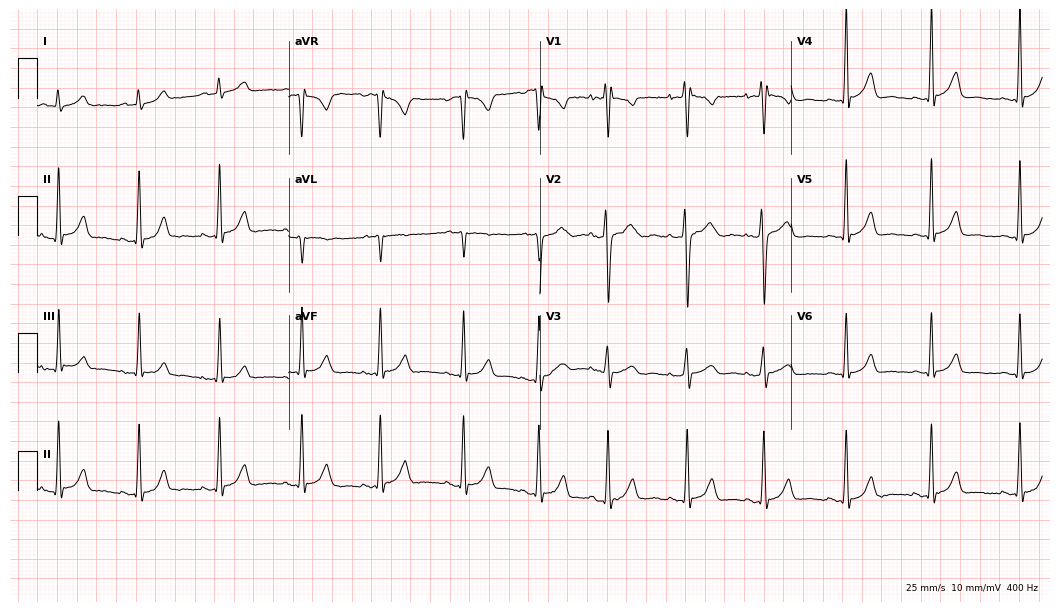
Standard 12-lead ECG recorded from a female patient, 18 years old (10.2-second recording at 400 Hz). None of these six findings is recorded: first-degree AV block, right bundle branch block, left bundle branch block, sinus bradycardia, atrial fibrillation, sinus tachycardia.